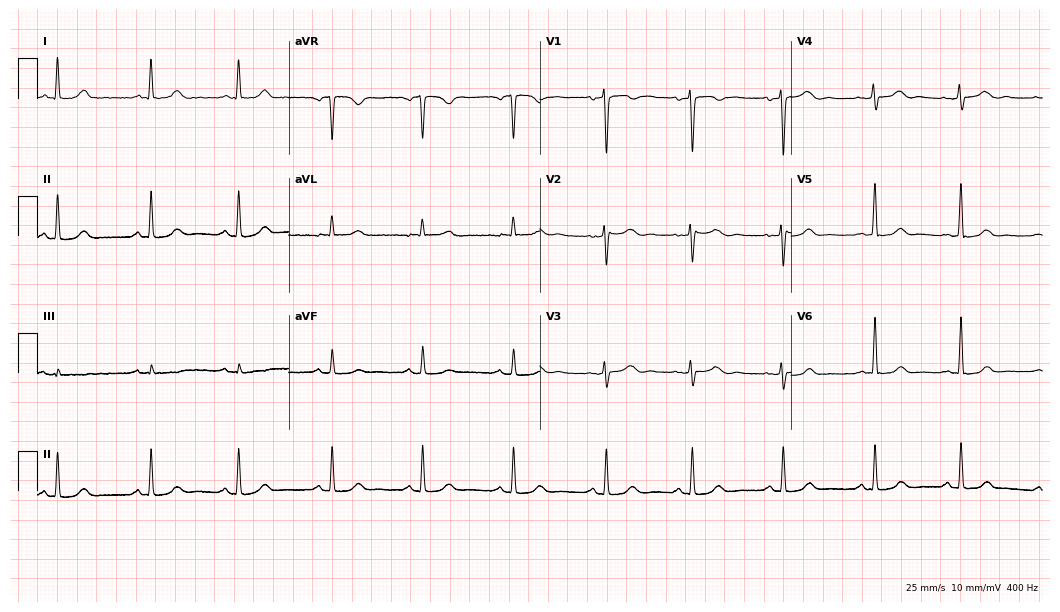
Electrocardiogram (10.2-second recording at 400 Hz), a 54-year-old woman. Overall reading on record: normal ECG.